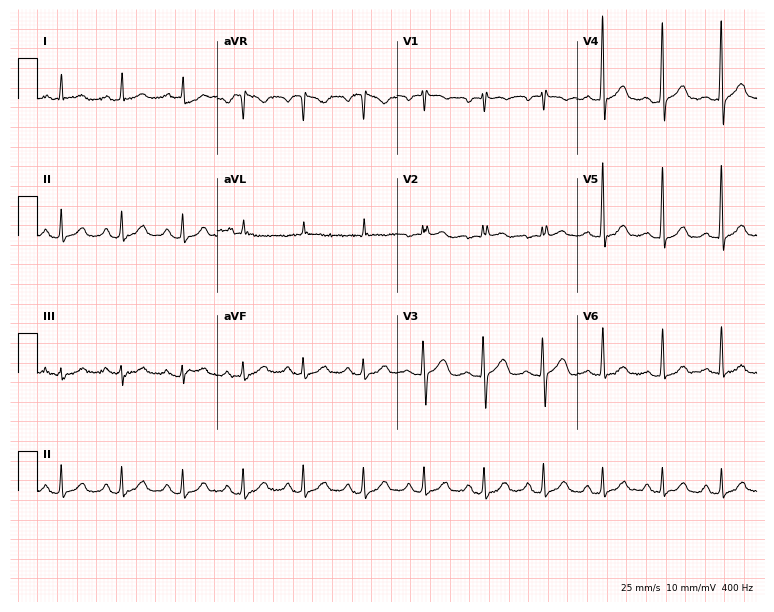
Electrocardiogram, a female patient, 70 years old. Of the six screened findings (first-degree AV block, right bundle branch block, left bundle branch block, sinus bradycardia, atrial fibrillation, sinus tachycardia), none is recorded. Only these six findings were labelled.